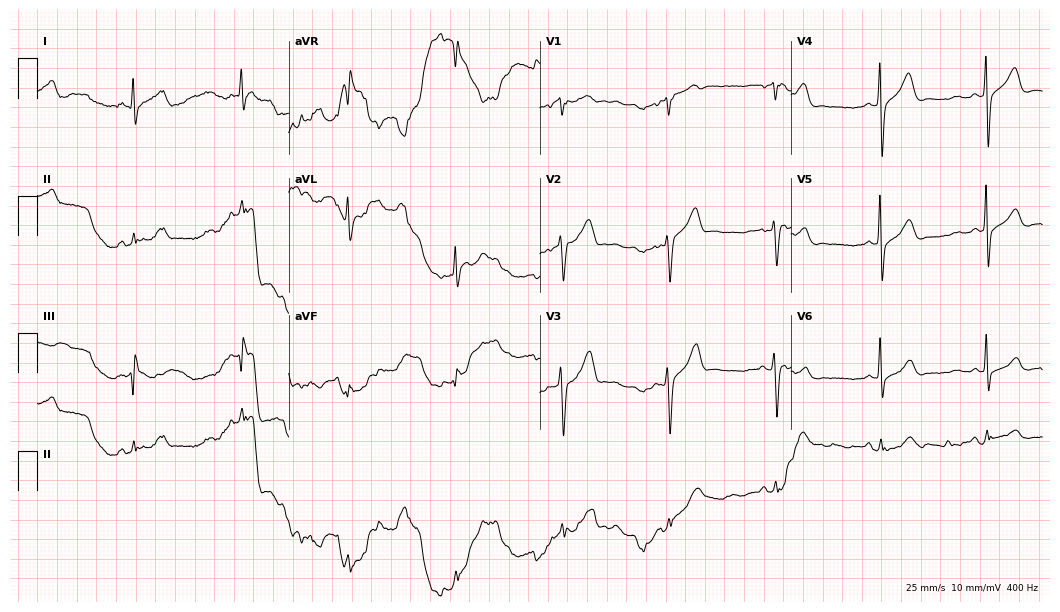
Standard 12-lead ECG recorded from a 50-year-old man (10.2-second recording at 400 Hz). None of these six findings is recorded: first-degree AV block, right bundle branch block (RBBB), left bundle branch block (LBBB), sinus bradycardia, atrial fibrillation (AF), sinus tachycardia. Findings outside these six are not listed.